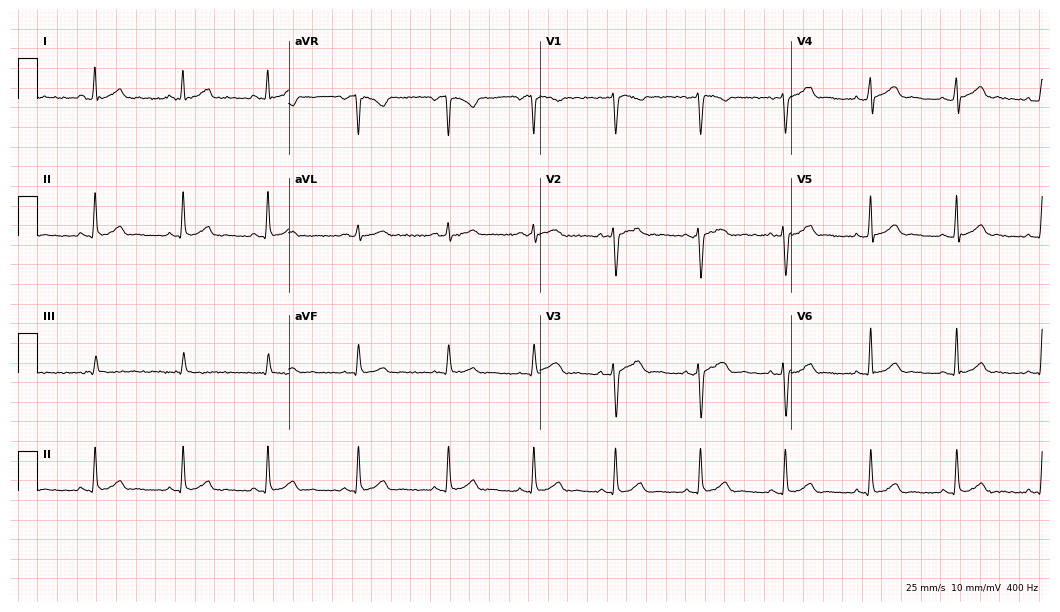
Standard 12-lead ECG recorded from a 28-year-old woman (10.2-second recording at 400 Hz). Read as a normal ECG.